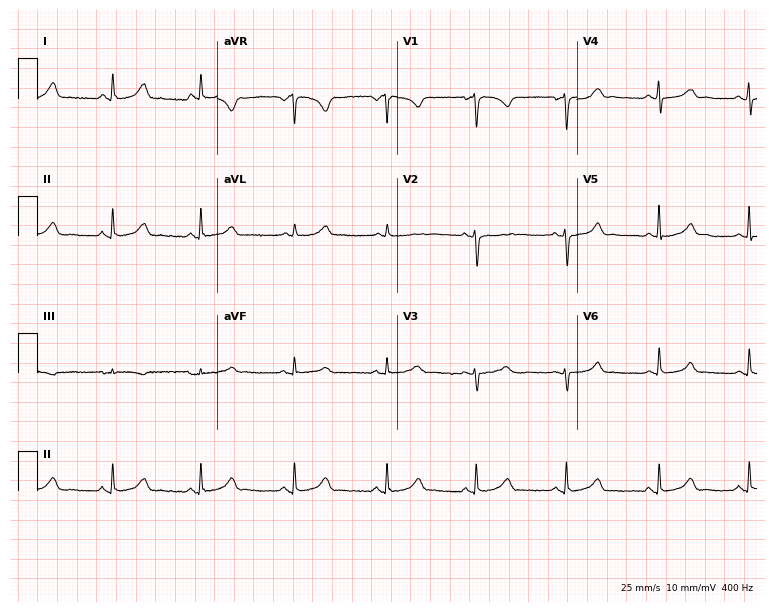
12-lead ECG from a 49-year-old woman. Labelled as a normal ECG.